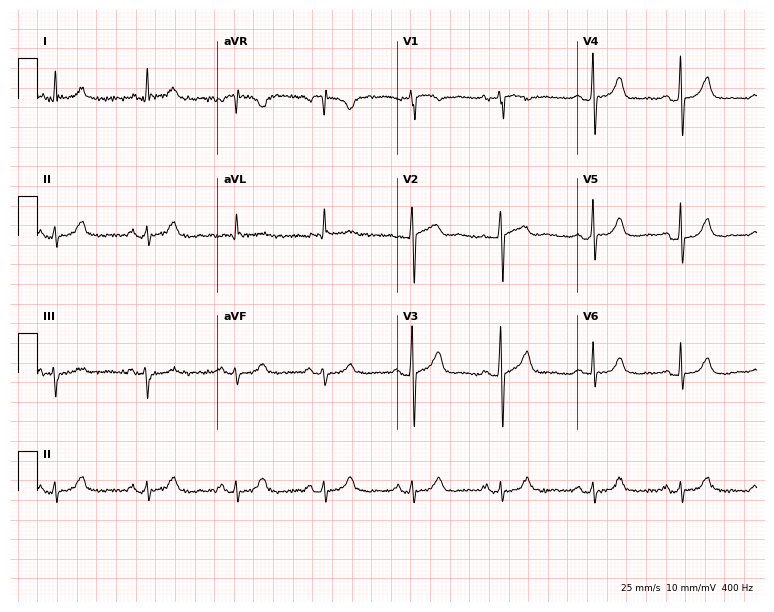
ECG (7.3-second recording at 400 Hz) — a man, 79 years old. Labelled as a normal ECG.